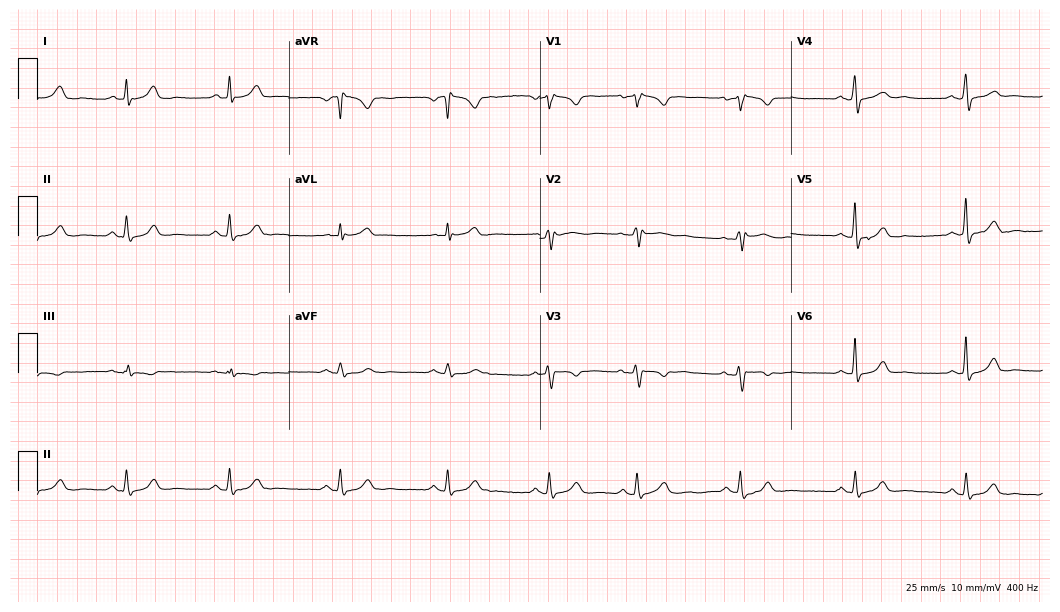
Electrocardiogram (10.2-second recording at 400 Hz), a woman, 35 years old. Overall reading on record: normal ECG.